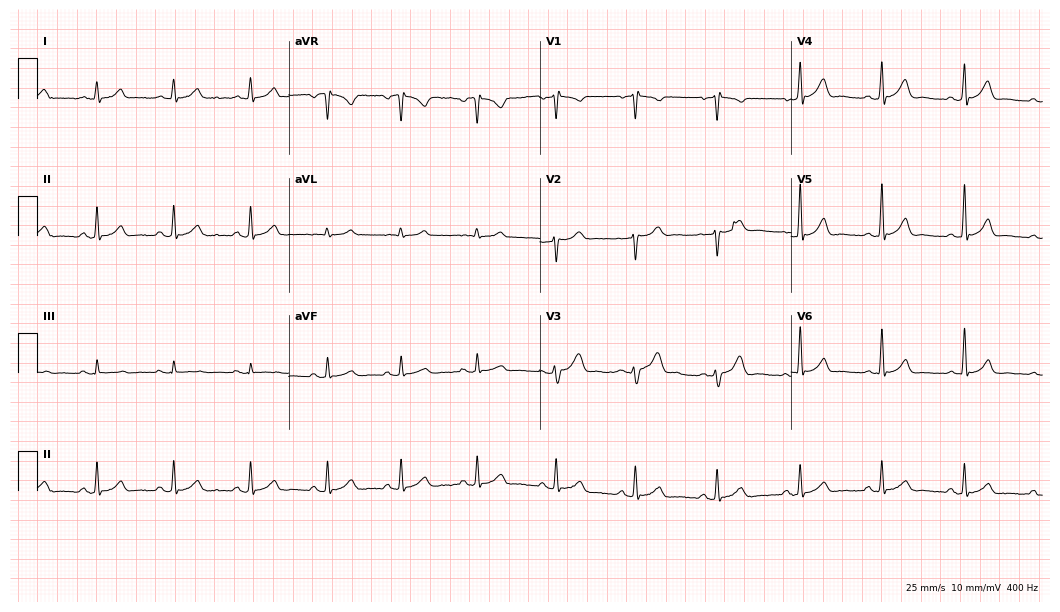
Electrocardiogram, a male patient, 41 years old. Overall reading on record: normal ECG.